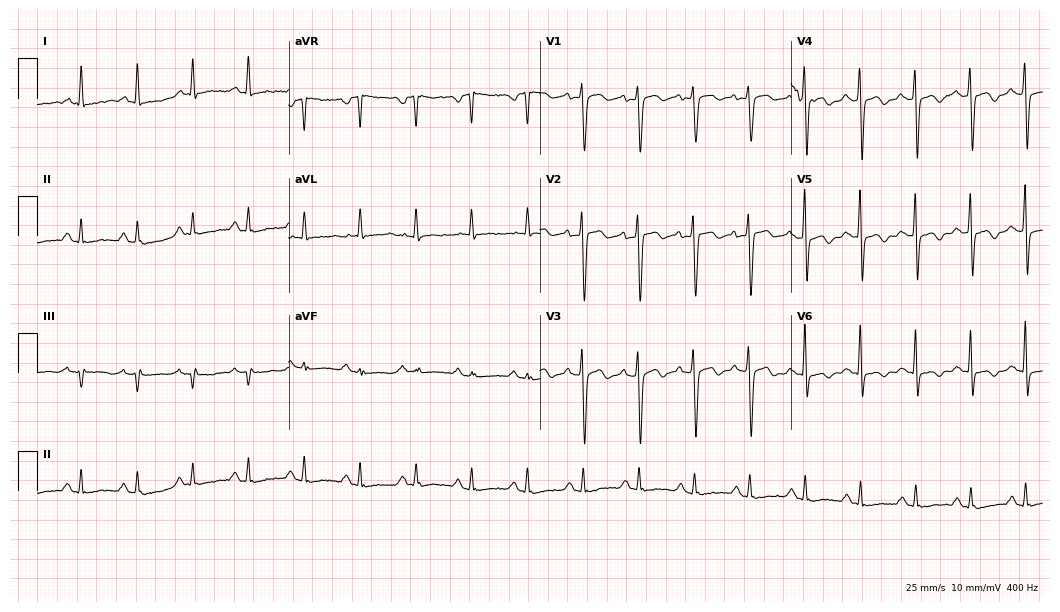
Standard 12-lead ECG recorded from a 62-year-old female (10.2-second recording at 400 Hz). None of these six findings is recorded: first-degree AV block, right bundle branch block, left bundle branch block, sinus bradycardia, atrial fibrillation, sinus tachycardia. Findings outside these six are not listed.